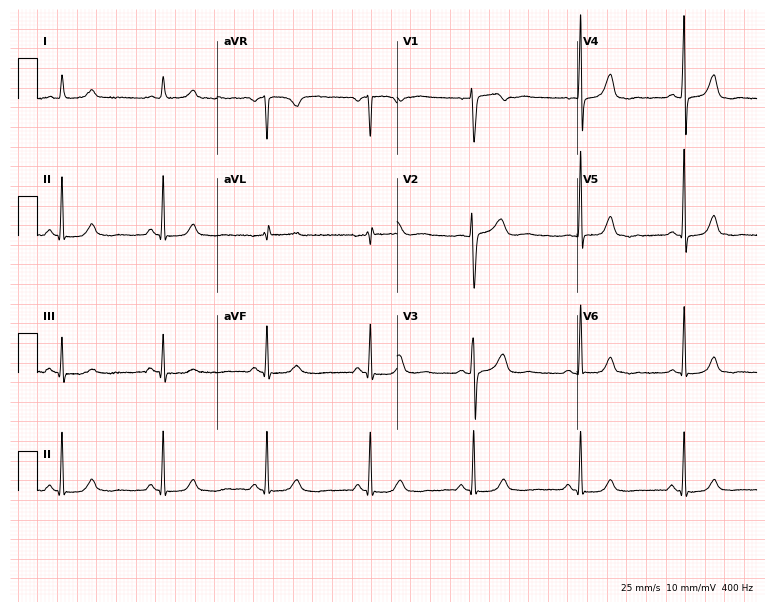
12-lead ECG (7.3-second recording at 400 Hz) from a female patient, 51 years old. Labelled as a normal ECG.